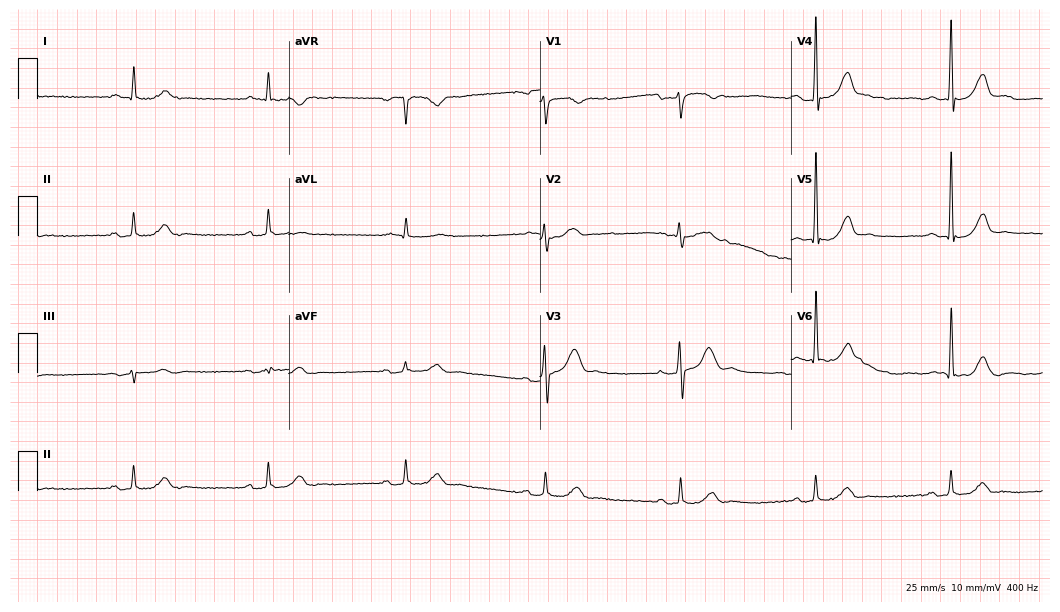
Resting 12-lead electrocardiogram (10.2-second recording at 400 Hz). Patient: a male, 76 years old. The tracing shows sinus bradycardia (a sinus rate of 50 beats per minute or less).